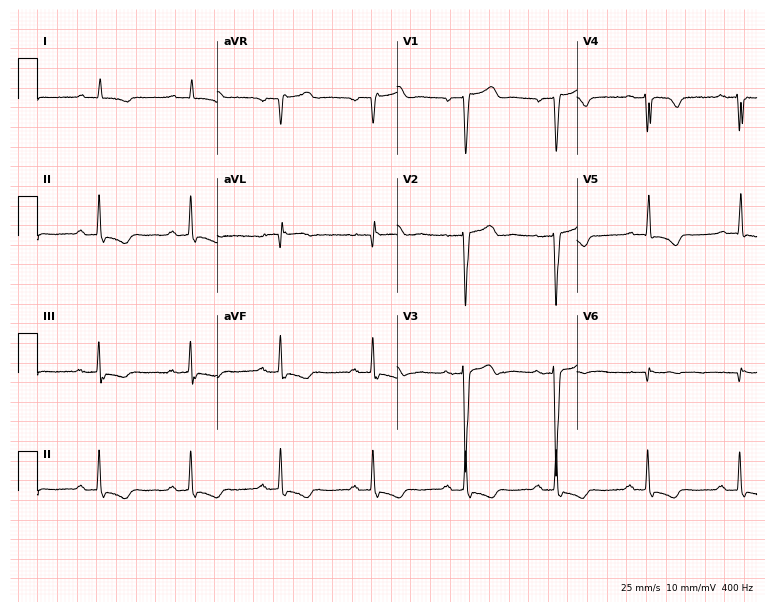
Electrocardiogram (7.3-second recording at 400 Hz), an 80-year-old male patient. Interpretation includes first-degree AV block.